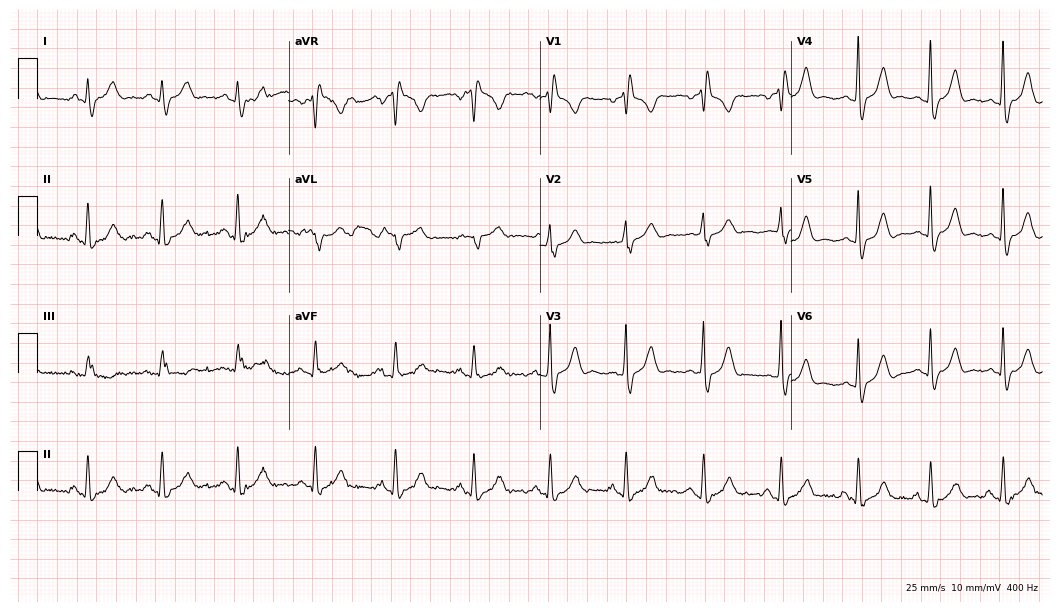
12-lead ECG from a 37-year-old female. Findings include right bundle branch block.